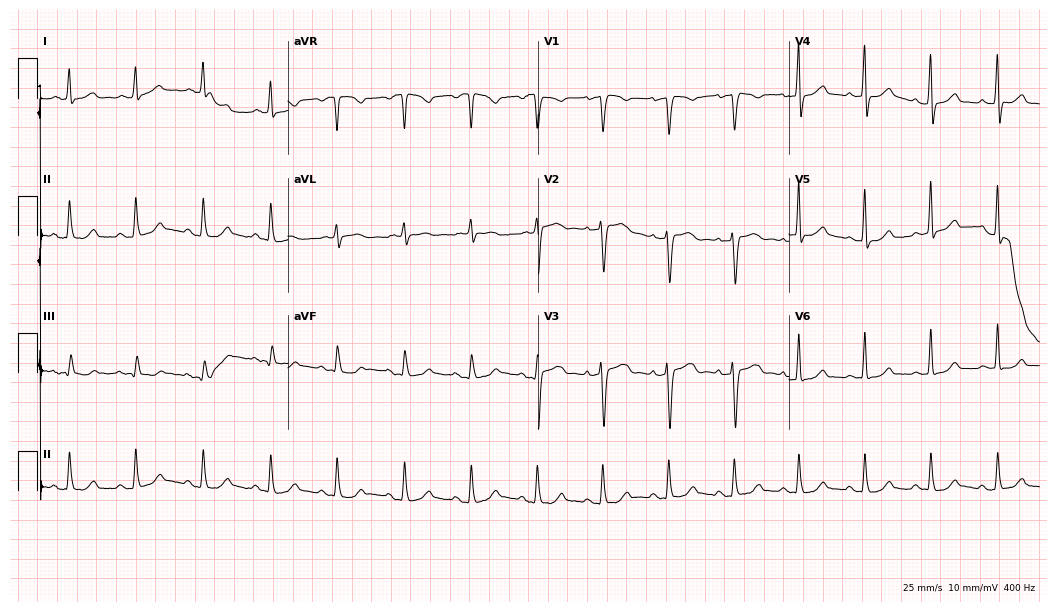
12-lead ECG from a female, 51 years old (10.2-second recording at 400 Hz). Recorded interpretation: within normal limits.